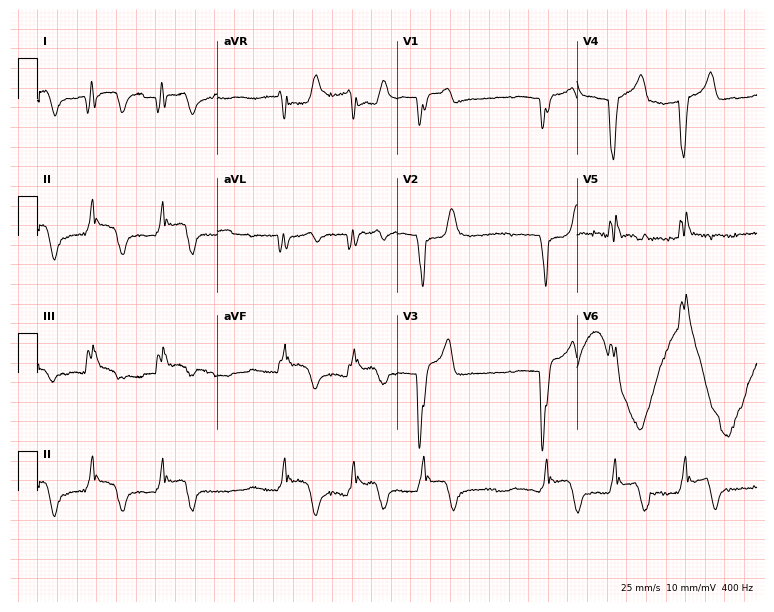
Electrocardiogram (7.3-second recording at 400 Hz), a 64-year-old woman. Of the six screened findings (first-degree AV block, right bundle branch block, left bundle branch block, sinus bradycardia, atrial fibrillation, sinus tachycardia), none is recorded.